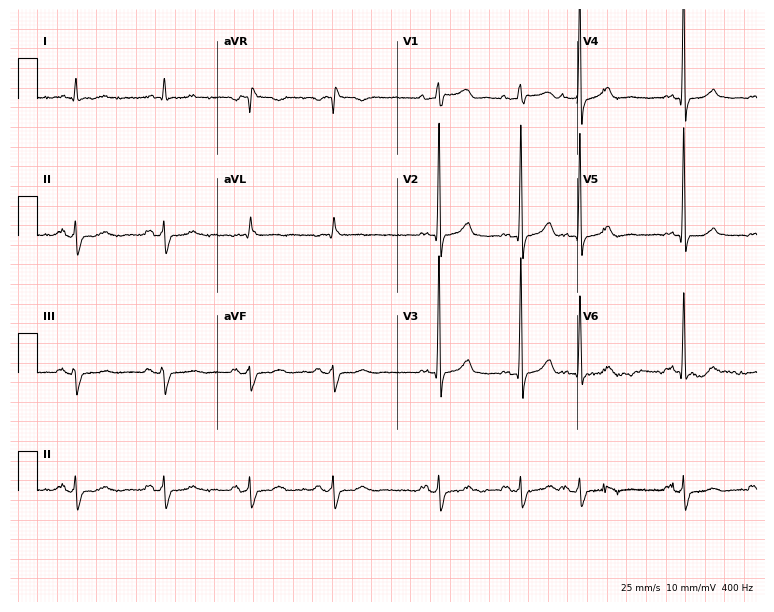
Resting 12-lead electrocardiogram. Patient: a 75-year-old male. None of these six findings is recorded: first-degree AV block, right bundle branch block (RBBB), left bundle branch block (LBBB), sinus bradycardia, atrial fibrillation (AF), sinus tachycardia.